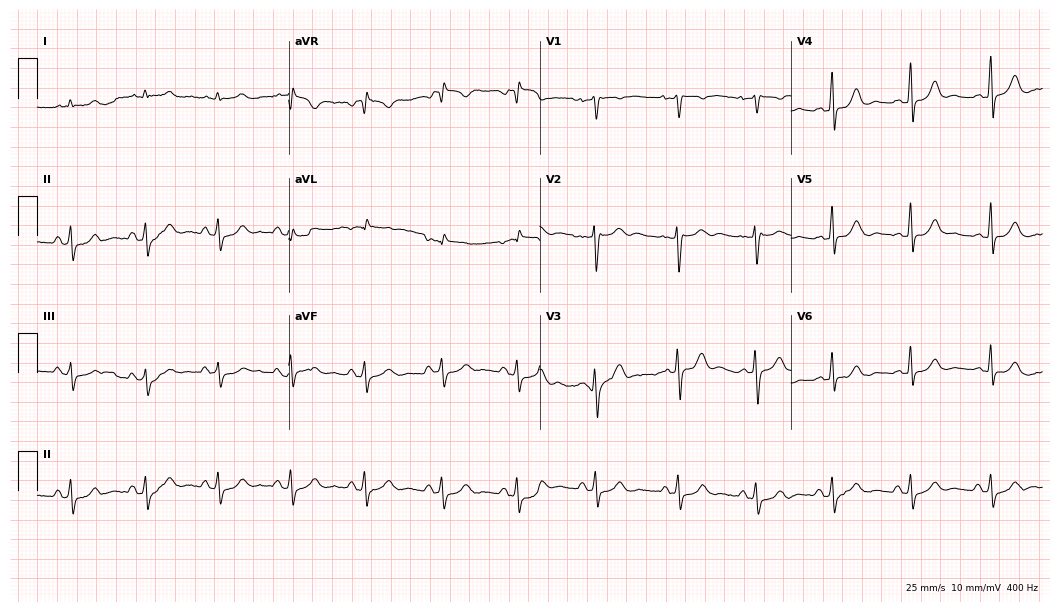
Resting 12-lead electrocardiogram. Patient: a 31-year-old female. Read as a normal ECG.